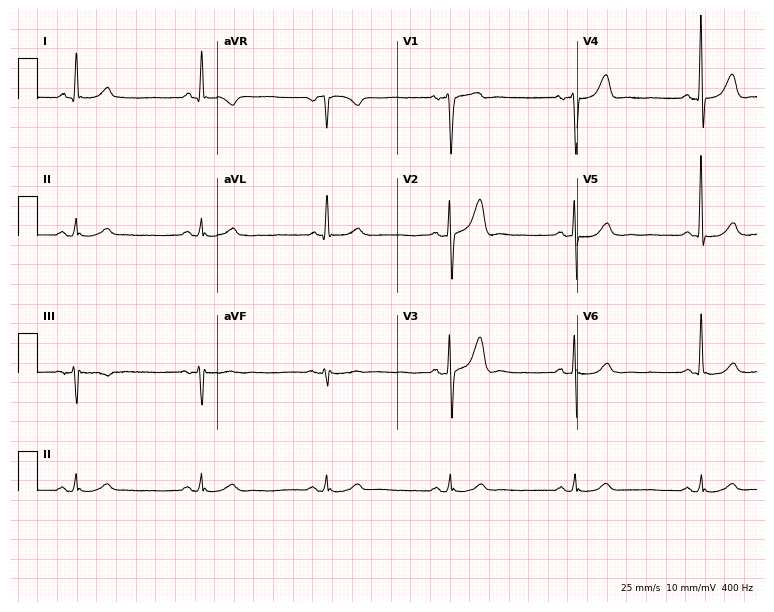
12-lead ECG from a 59-year-old male patient (7.3-second recording at 400 Hz). Shows sinus bradycardia (a sinus rate of 50 beats per minute or less).